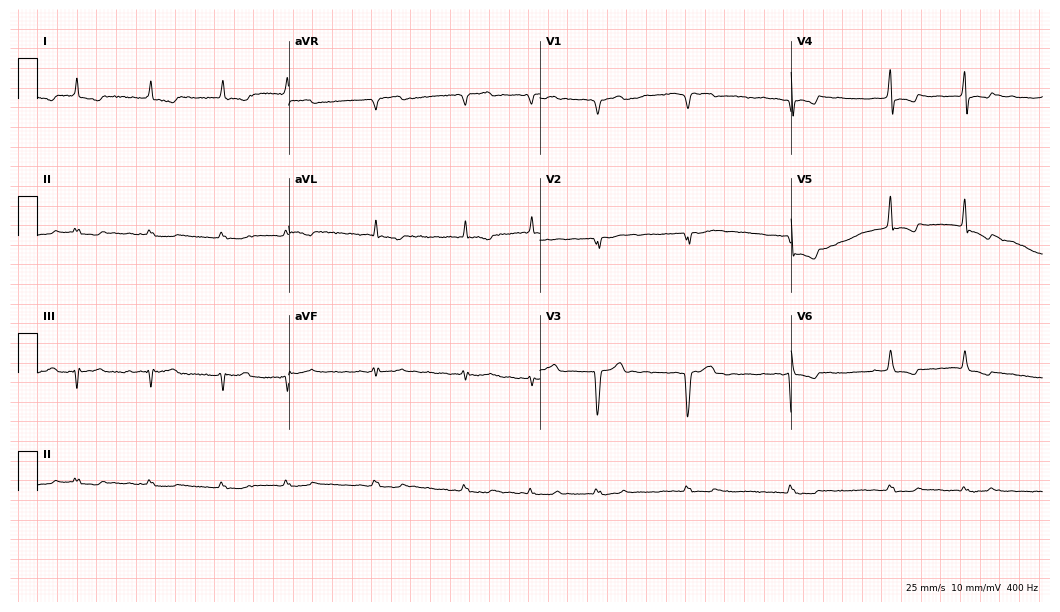
12-lead ECG from a female, 75 years old. Shows atrial fibrillation.